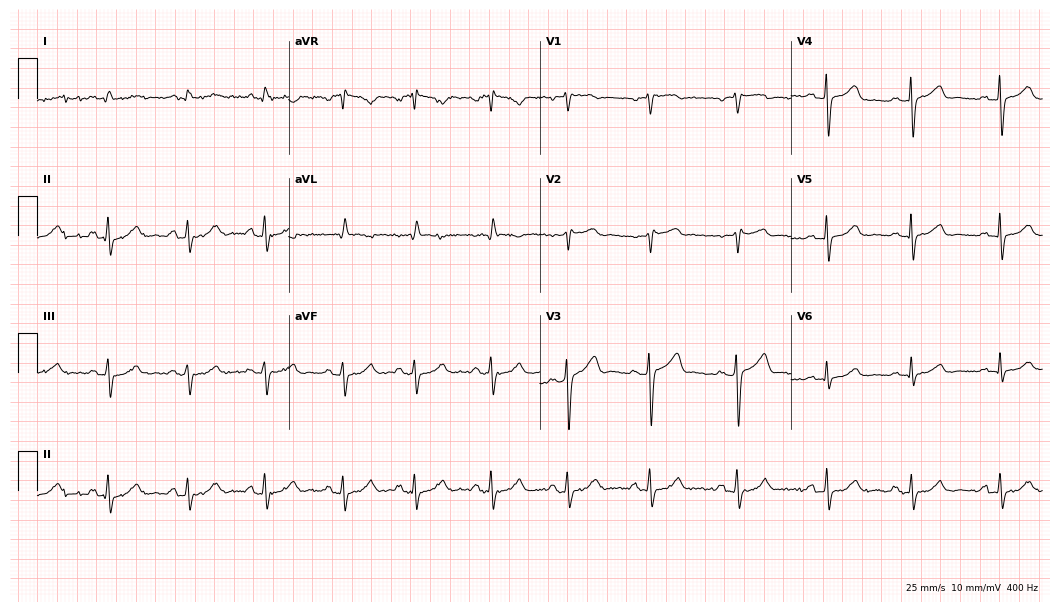
Electrocardiogram (10.2-second recording at 400 Hz), a 44-year-old female. Overall reading on record: normal ECG.